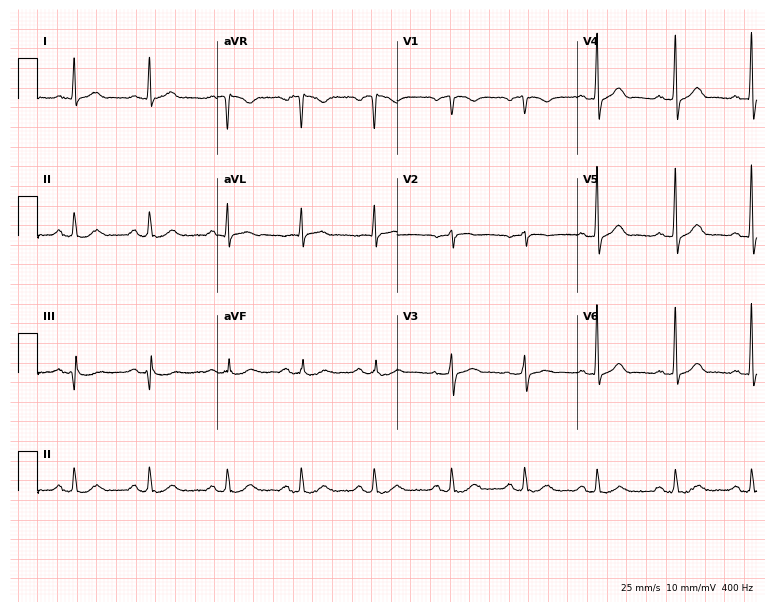
Electrocardiogram (7.3-second recording at 400 Hz), a 60-year-old male. Overall reading on record: normal ECG.